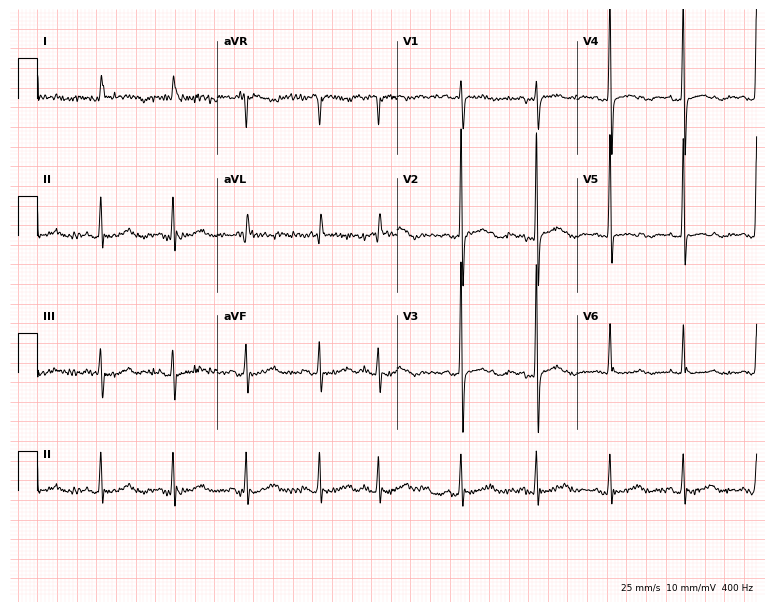
ECG (7.3-second recording at 400 Hz) — an 85-year-old male. Screened for six findings — first-degree AV block, right bundle branch block, left bundle branch block, sinus bradycardia, atrial fibrillation, sinus tachycardia — none is recorded.